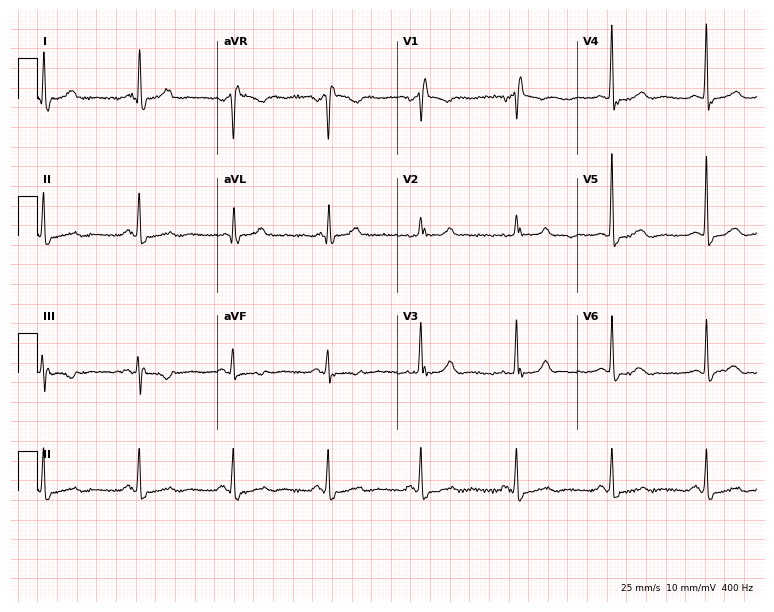
12-lead ECG from a woman, 76 years old (7.3-second recording at 400 Hz). No first-degree AV block, right bundle branch block, left bundle branch block, sinus bradycardia, atrial fibrillation or sinus tachycardia recorded for this tracing. Findings outside these six are not listed.